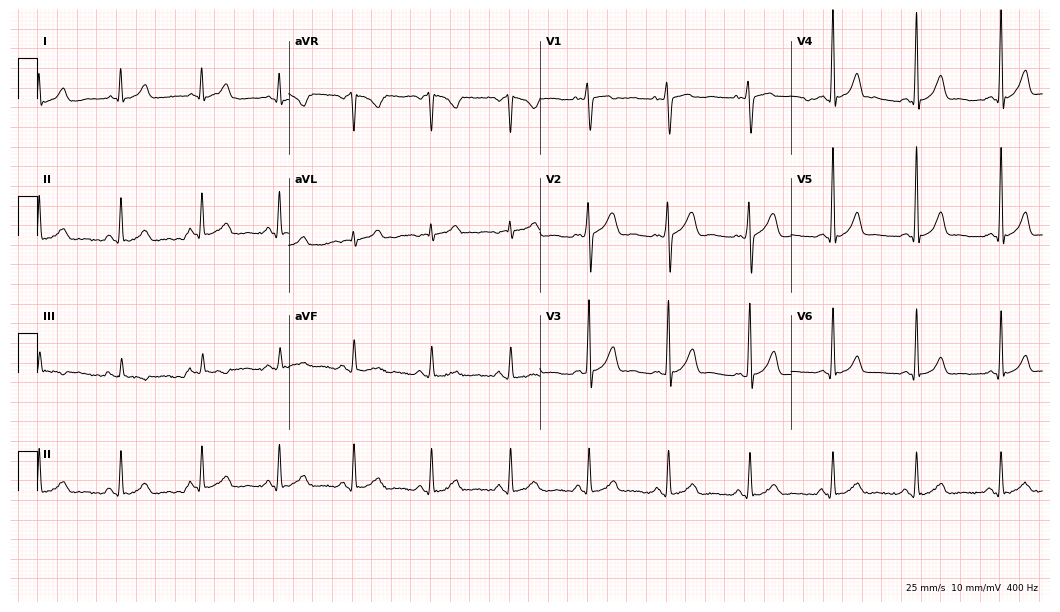
ECG — a male, 23 years old. Labelled as a normal ECG.